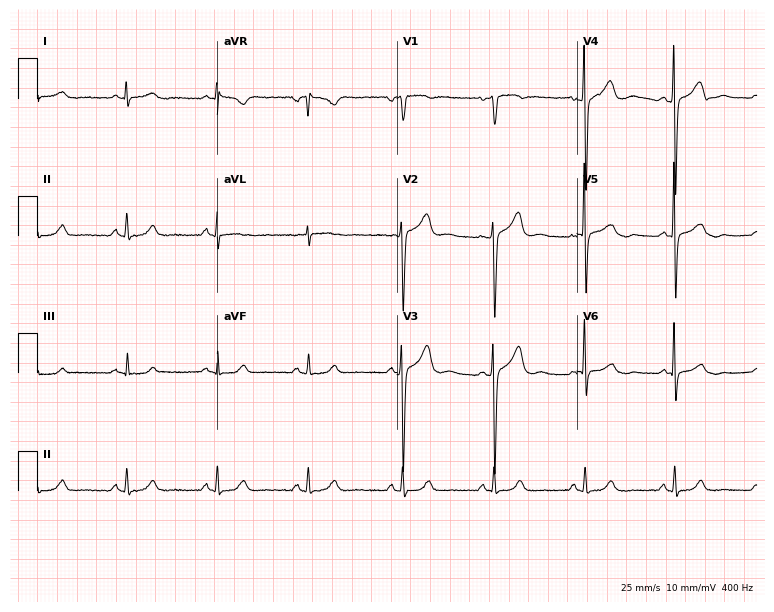
Resting 12-lead electrocardiogram. Patient: a 59-year-old male. Read as a normal ECG.